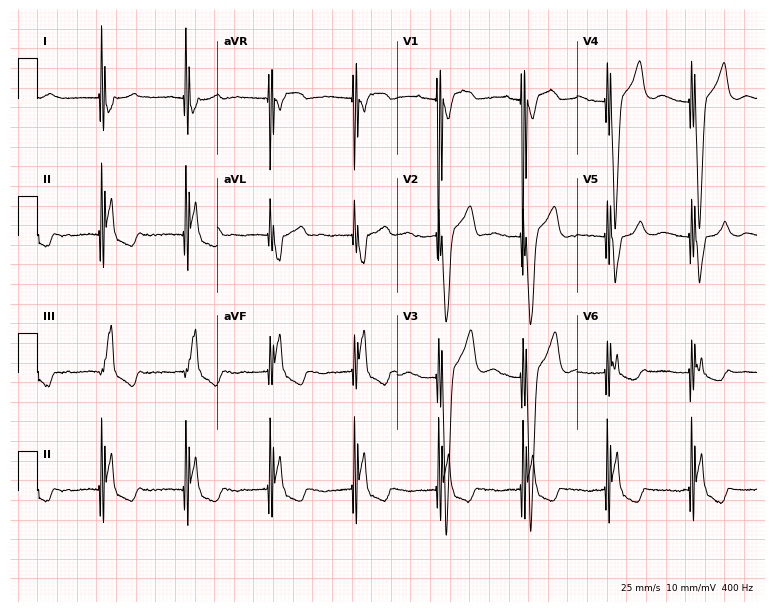
ECG (7.3-second recording at 400 Hz) — a male patient, 75 years old. Screened for six findings — first-degree AV block, right bundle branch block (RBBB), left bundle branch block (LBBB), sinus bradycardia, atrial fibrillation (AF), sinus tachycardia — none is recorded.